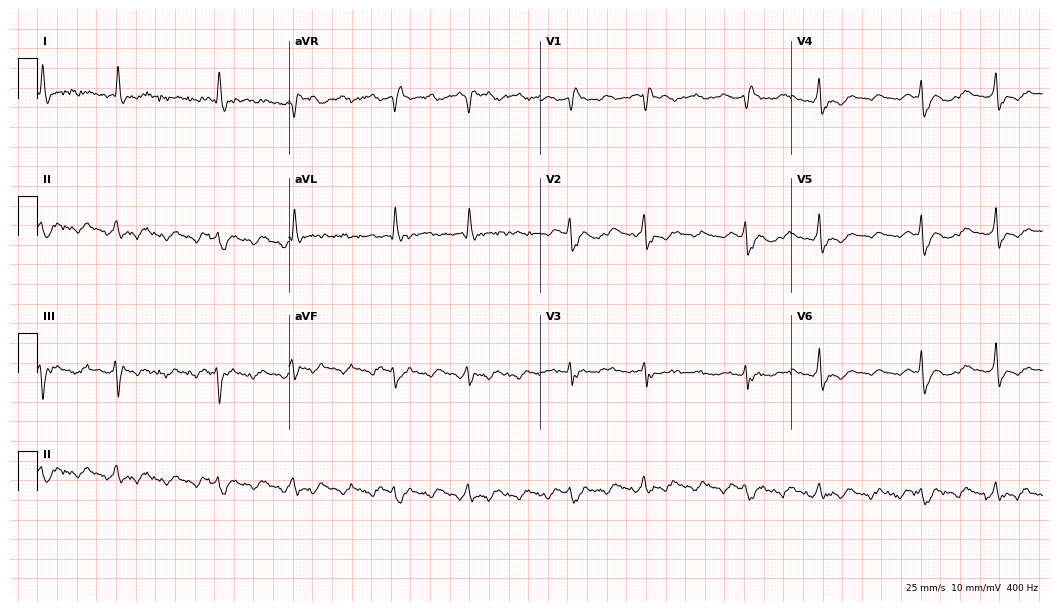
Standard 12-lead ECG recorded from a man, 86 years old. None of these six findings is recorded: first-degree AV block, right bundle branch block, left bundle branch block, sinus bradycardia, atrial fibrillation, sinus tachycardia.